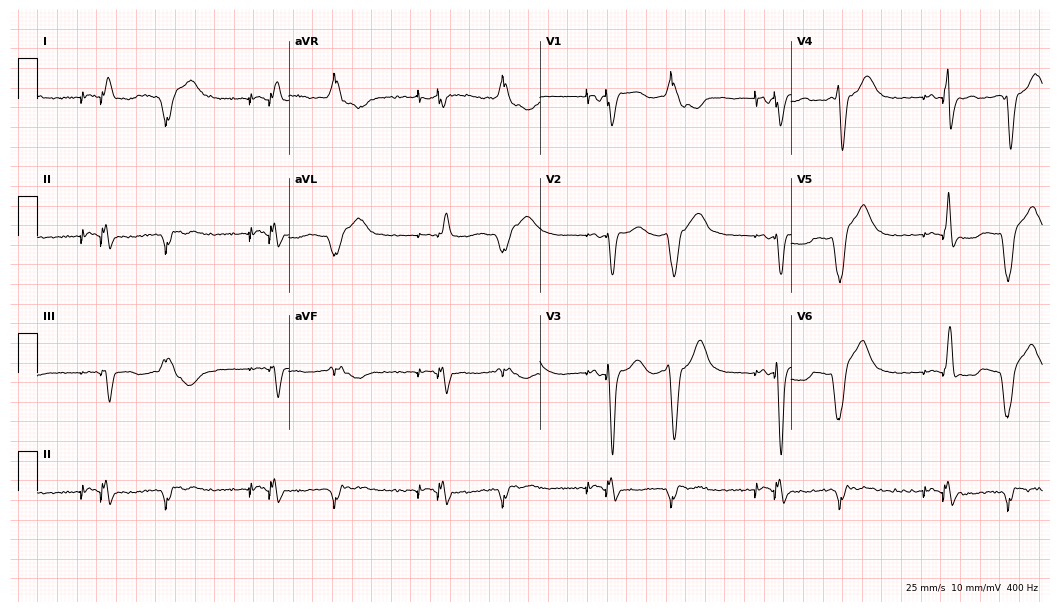
Electrocardiogram (10.2-second recording at 400 Hz), a 68-year-old man. Of the six screened findings (first-degree AV block, right bundle branch block (RBBB), left bundle branch block (LBBB), sinus bradycardia, atrial fibrillation (AF), sinus tachycardia), none is recorded. Other findings, if any, are not listed.